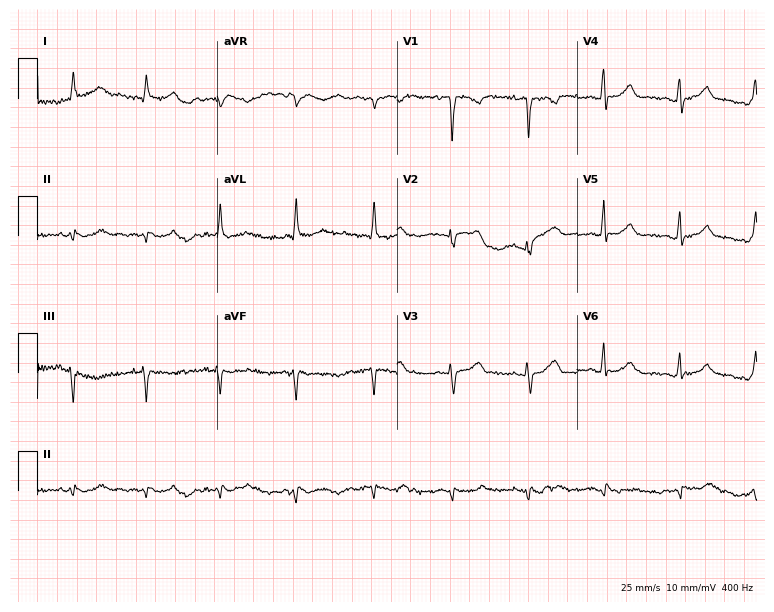
12-lead ECG from a woman, 51 years old (7.3-second recording at 400 Hz). No first-degree AV block, right bundle branch block, left bundle branch block, sinus bradycardia, atrial fibrillation or sinus tachycardia recorded for this tracing. Findings outside these six are not listed.